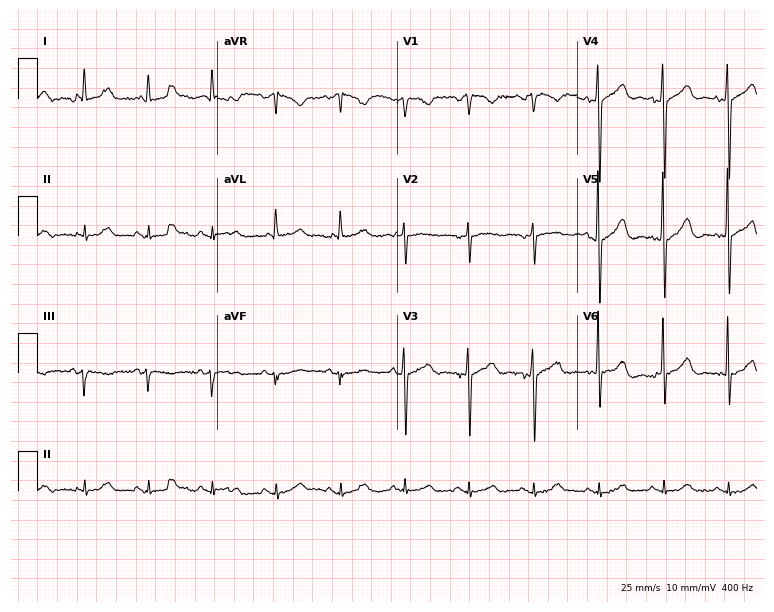
Standard 12-lead ECG recorded from a 70-year-old male patient (7.3-second recording at 400 Hz). Read as a normal ECG.